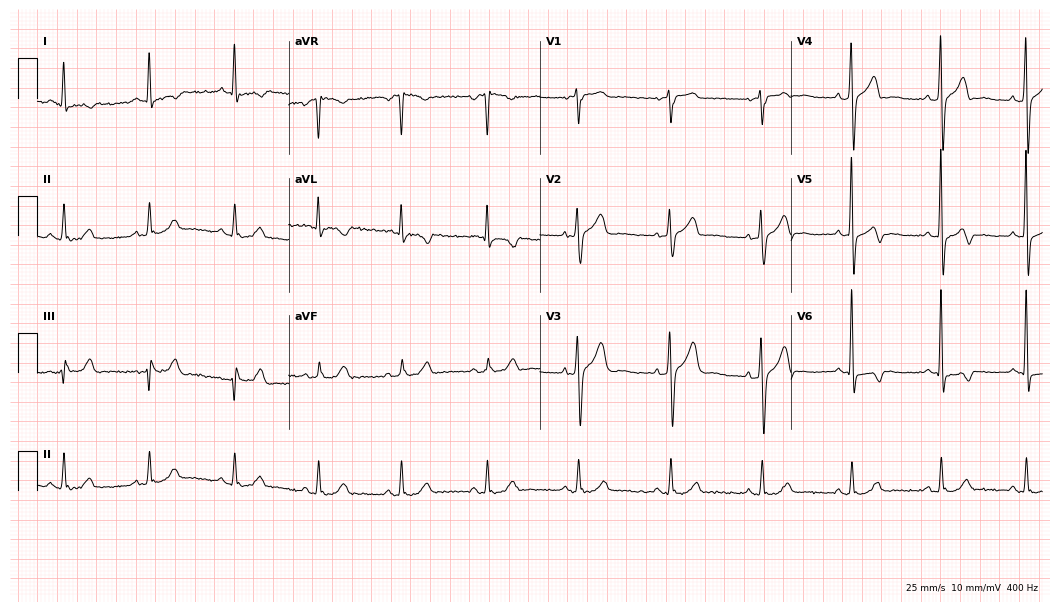
12-lead ECG from a male, 57 years old (10.2-second recording at 400 Hz). No first-degree AV block, right bundle branch block, left bundle branch block, sinus bradycardia, atrial fibrillation or sinus tachycardia recorded for this tracing. Only these six findings were labelled.